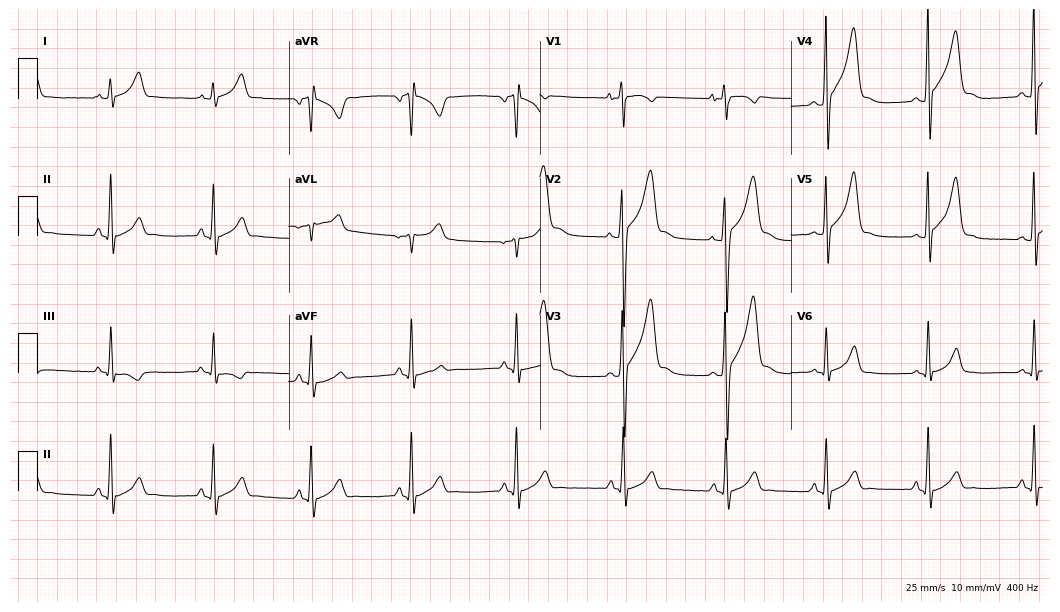
12-lead ECG from an 18-year-old male patient (10.2-second recording at 400 Hz). Recorded interpretation: within normal limits.